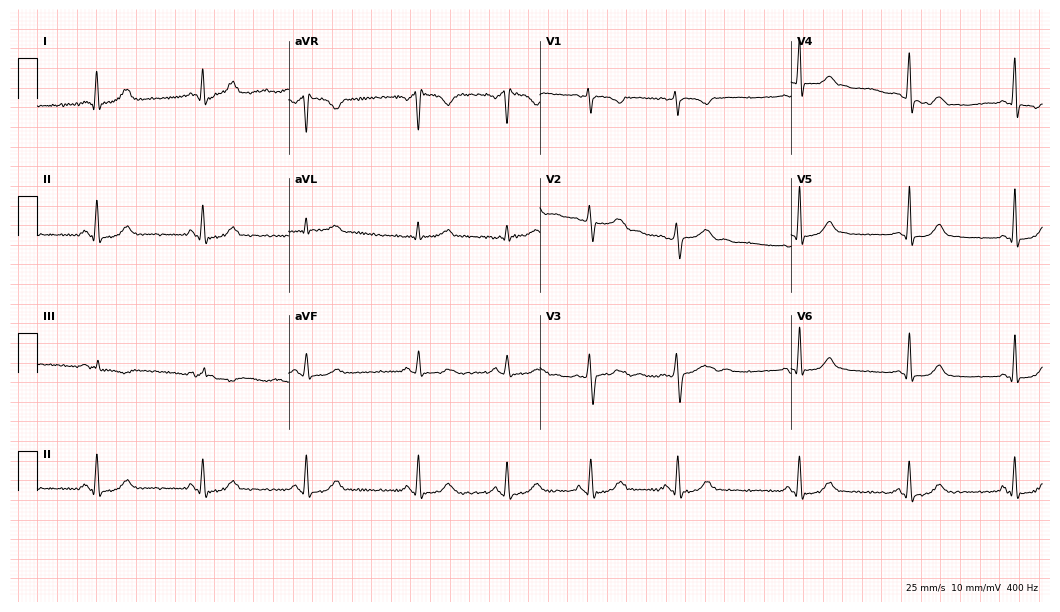
Resting 12-lead electrocardiogram. Patient: a female, 28 years old. Read as a normal ECG.